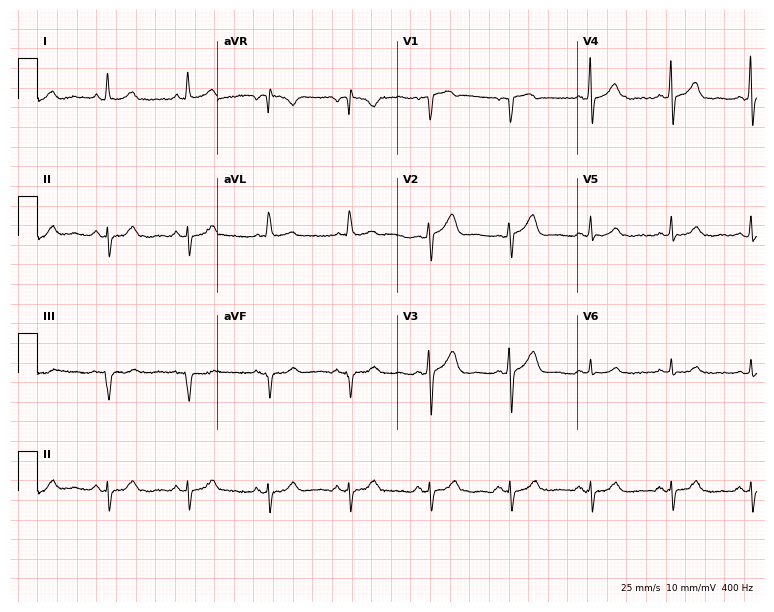
ECG — a male, 73 years old. Screened for six findings — first-degree AV block, right bundle branch block, left bundle branch block, sinus bradycardia, atrial fibrillation, sinus tachycardia — none is recorded. Findings outside these six are not listed.